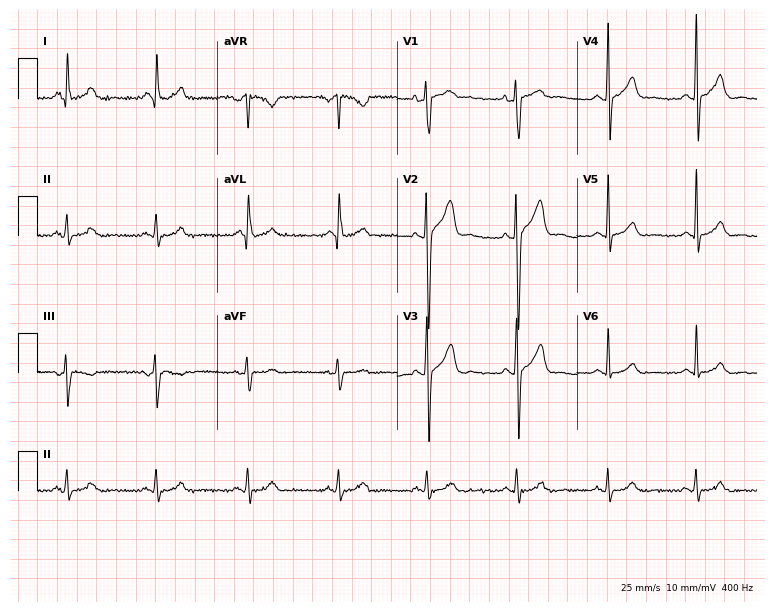
ECG (7.3-second recording at 400 Hz) — a 45-year-old man. Labelled as a normal ECG.